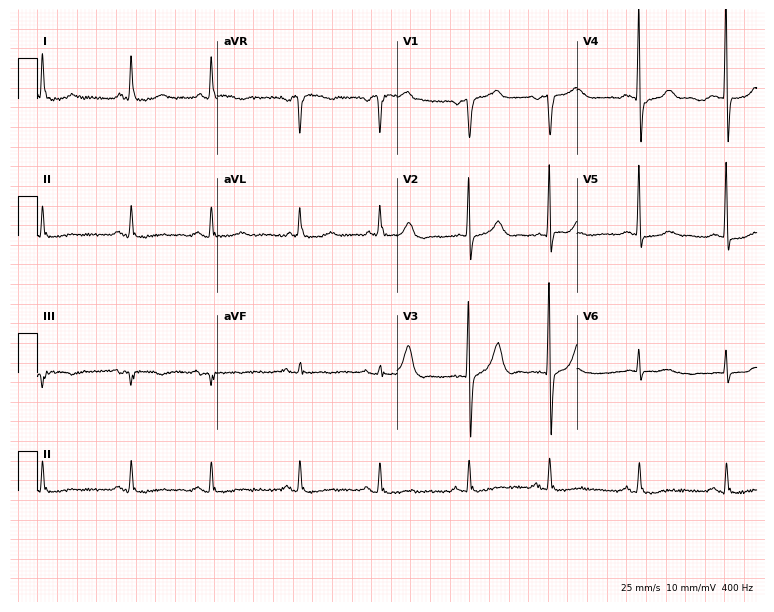
Electrocardiogram, a 74-year-old man. Overall reading on record: normal ECG.